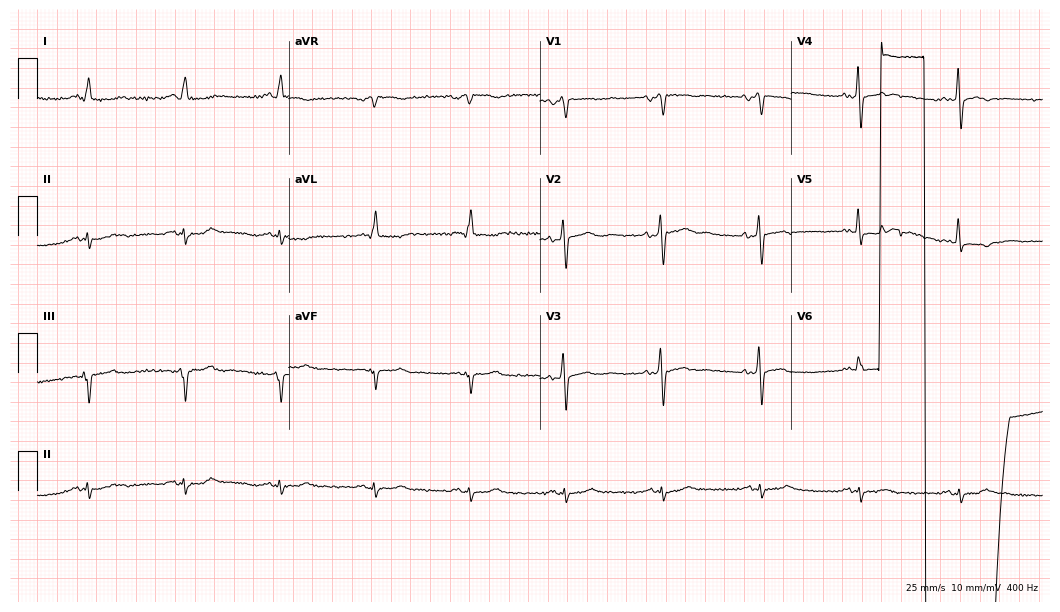
ECG (10.2-second recording at 400 Hz) — a man, 63 years old. Screened for six findings — first-degree AV block, right bundle branch block, left bundle branch block, sinus bradycardia, atrial fibrillation, sinus tachycardia — none is recorded.